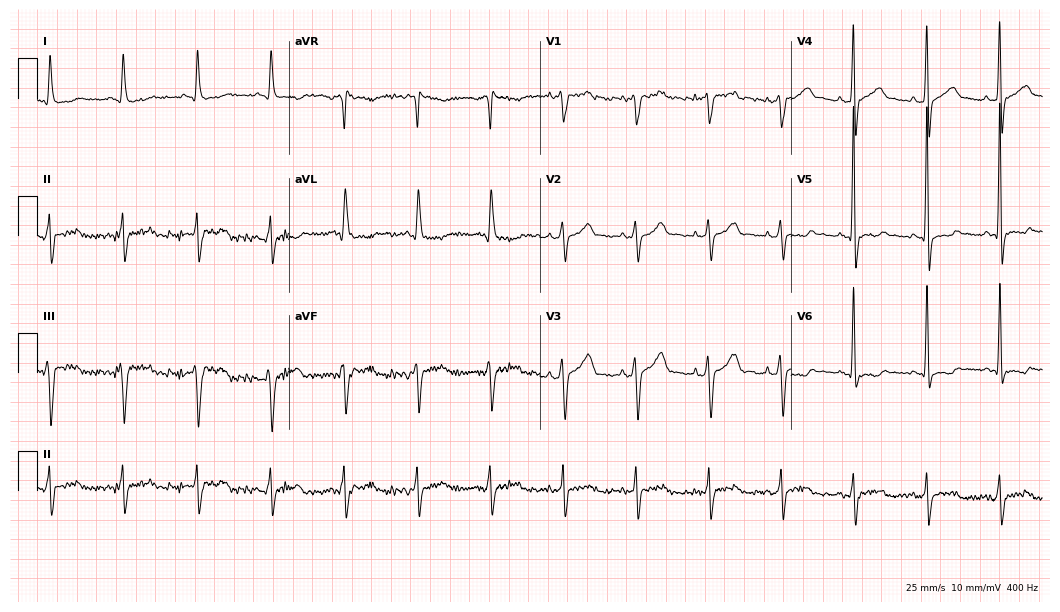
Standard 12-lead ECG recorded from a male, 64 years old. None of these six findings is recorded: first-degree AV block, right bundle branch block, left bundle branch block, sinus bradycardia, atrial fibrillation, sinus tachycardia.